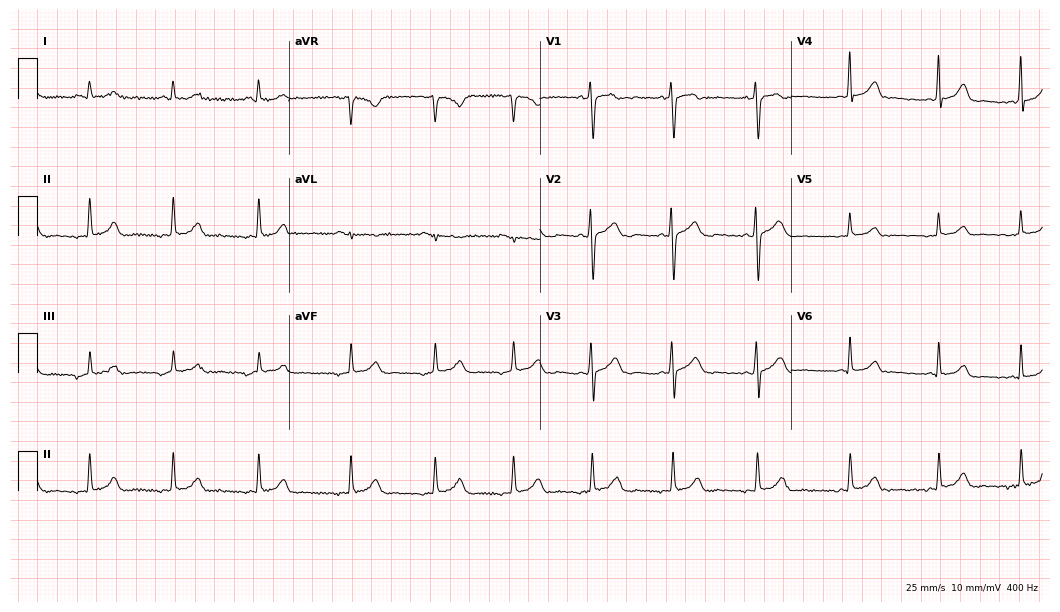
Standard 12-lead ECG recorded from a 31-year-old female. None of these six findings is recorded: first-degree AV block, right bundle branch block, left bundle branch block, sinus bradycardia, atrial fibrillation, sinus tachycardia.